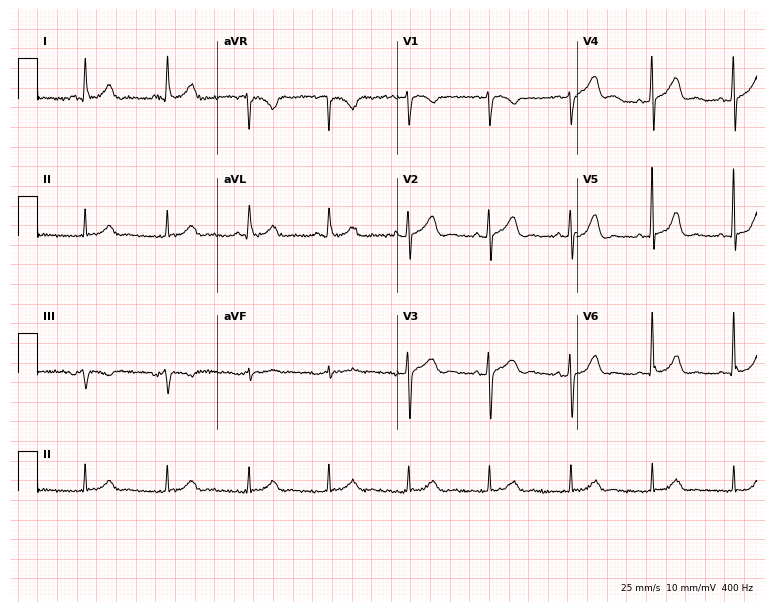
Electrocardiogram, a 77-year-old woman. Overall reading on record: normal ECG.